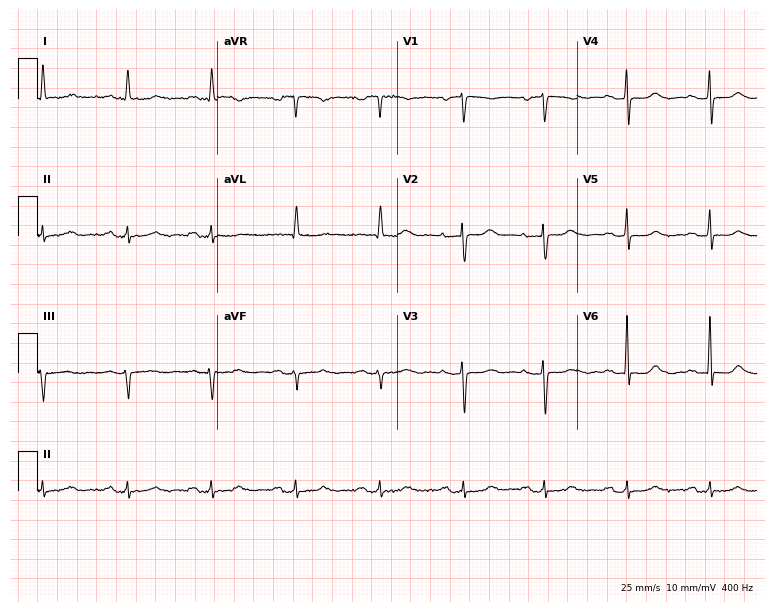
Standard 12-lead ECG recorded from a 66-year-old female patient. Read as a normal ECG.